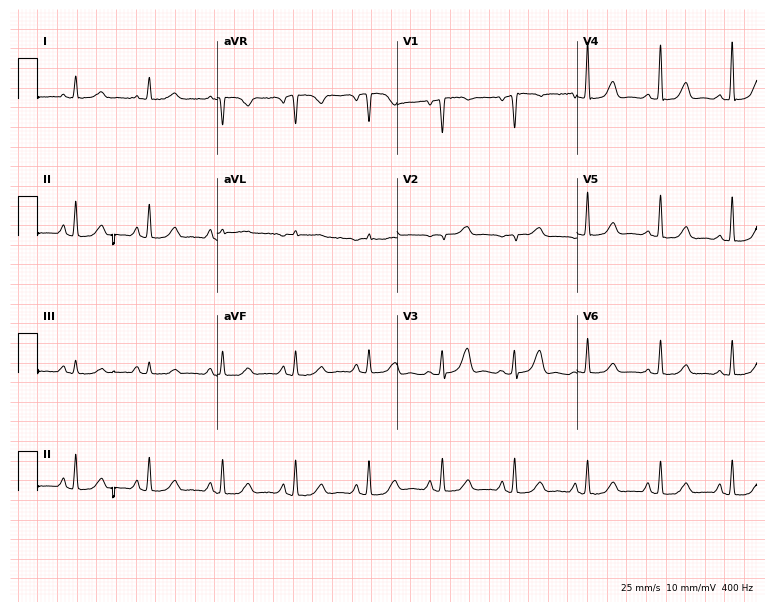
12-lead ECG (7.3-second recording at 400 Hz) from a female, 65 years old. Screened for six findings — first-degree AV block, right bundle branch block, left bundle branch block, sinus bradycardia, atrial fibrillation, sinus tachycardia — none is recorded.